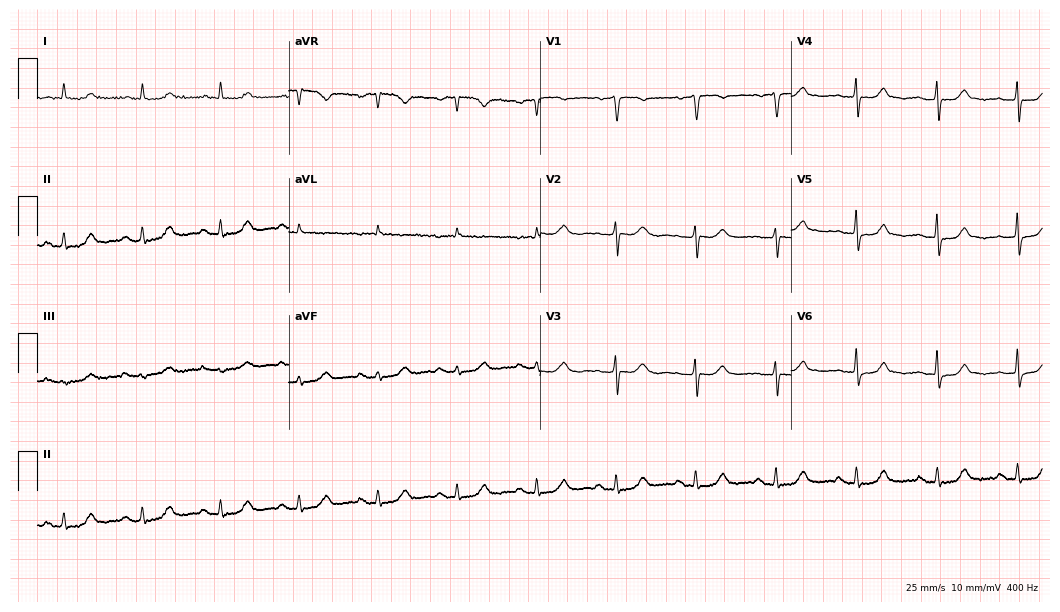
12-lead ECG (10.2-second recording at 400 Hz) from a 71-year-old female. Labelled as a normal ECG.